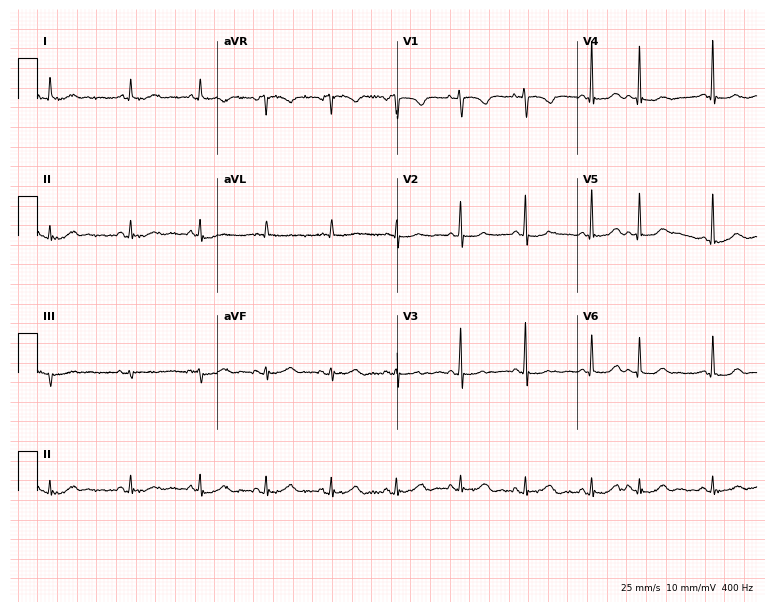
12-lead ECG from an 80-year-old female. No first-degree AV block, right bundle branch block, left bundle branch block, sinus bradycardia, atrial fibrillation or sinus tachycardia recorded for this tracing. Only these six findings were labelled.